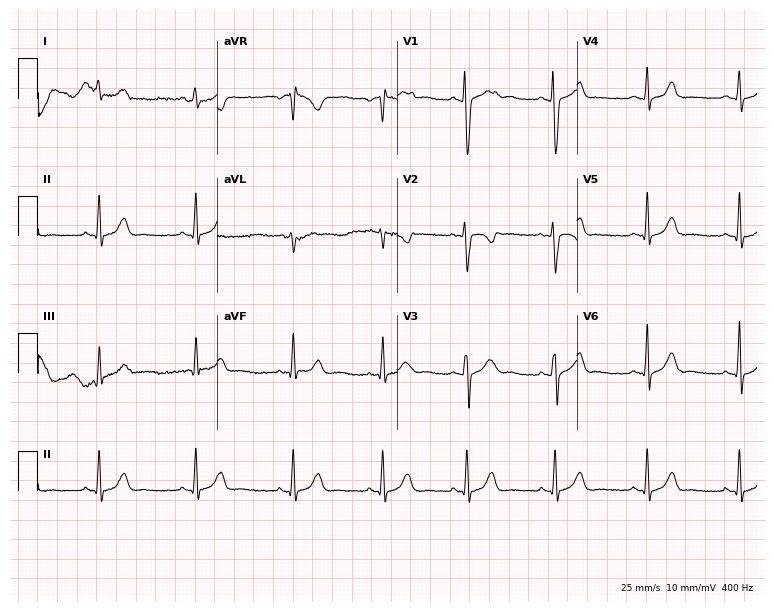
Electrocardiogram, a female patient, 25 years old. Of the six screened findings (first-degree AV block, right bundle branch block (RBBB), left bundle branch block (LBBB), sinus bradycardia, atrial fibrillation (AF), sinus tachycardia), none is recorded.